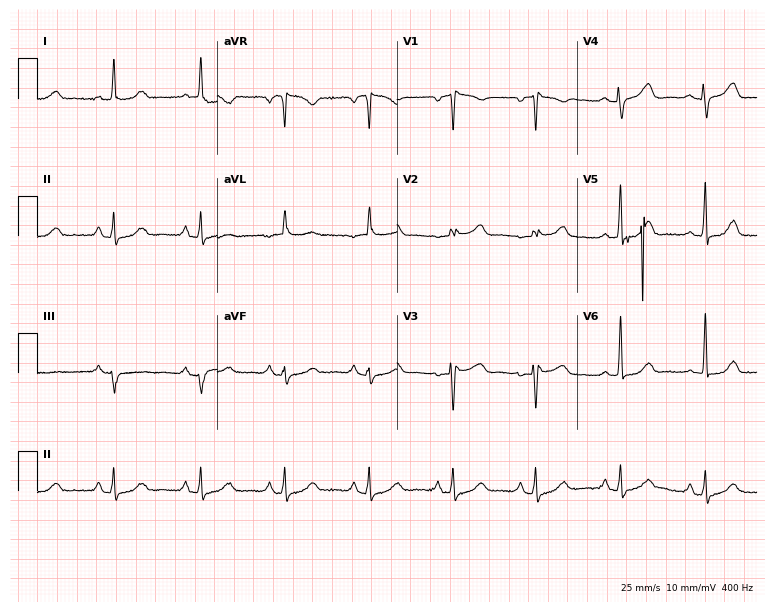
Resting 12-lead electrocardiogram (7.3-second recording at 400 Hz). Patient: a woman, 65 years old. None of these six findings is recorded: first-degree AV block, right bundle branch block, left bundle branch block, sinus bradycardia, atrial fibrillation, sinus tachycardia. Findings outside these six are not listed.